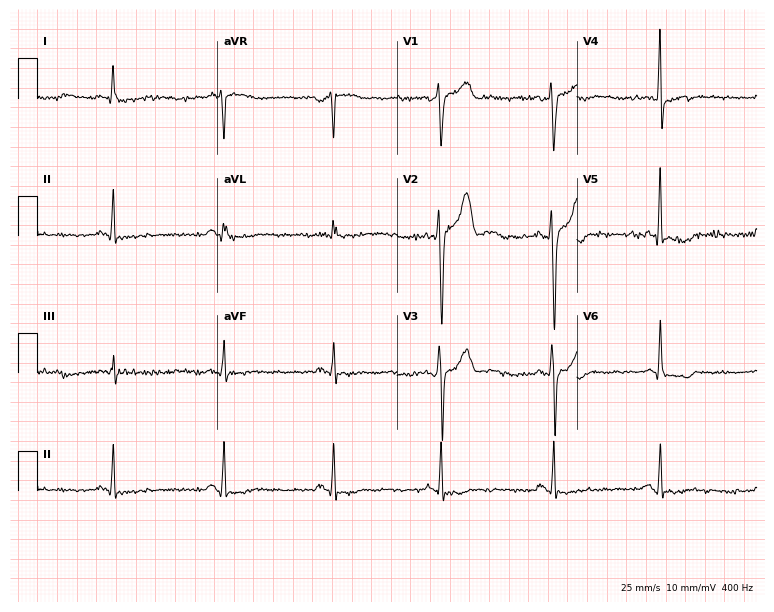
Standard 12-lead ECG recorded from a man, 56 years old (7.3-second recording at 400 Hz). None of these six findings is recorded: first-degree AV block, right bundle branch block, left bundle branch block, sinus bradycardia, atrial fibrillation, sinus tachycardia.